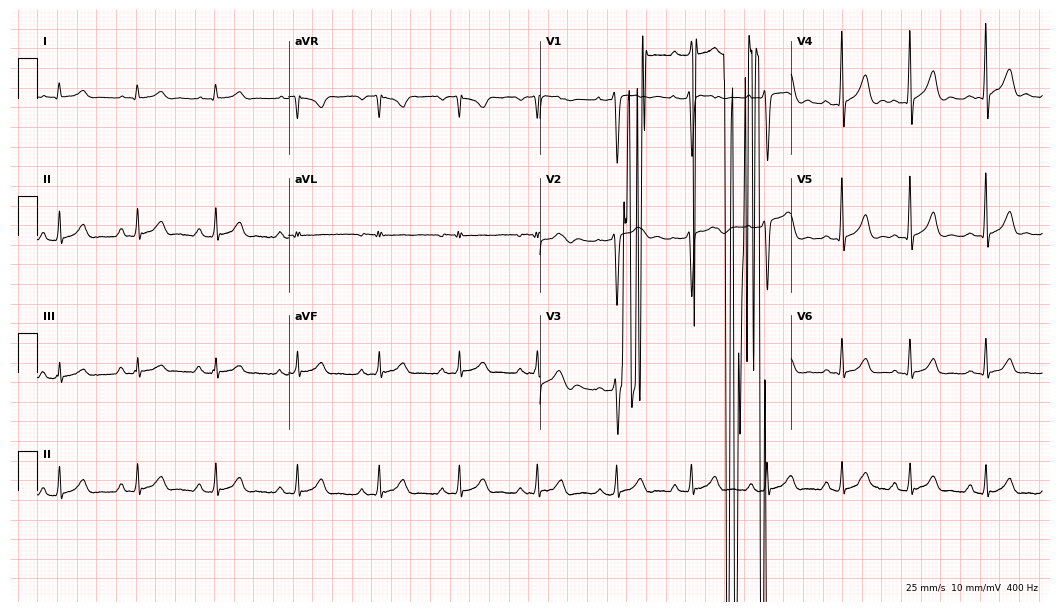
ECG — a man, 17 years old. Labelled as a normal ECG.